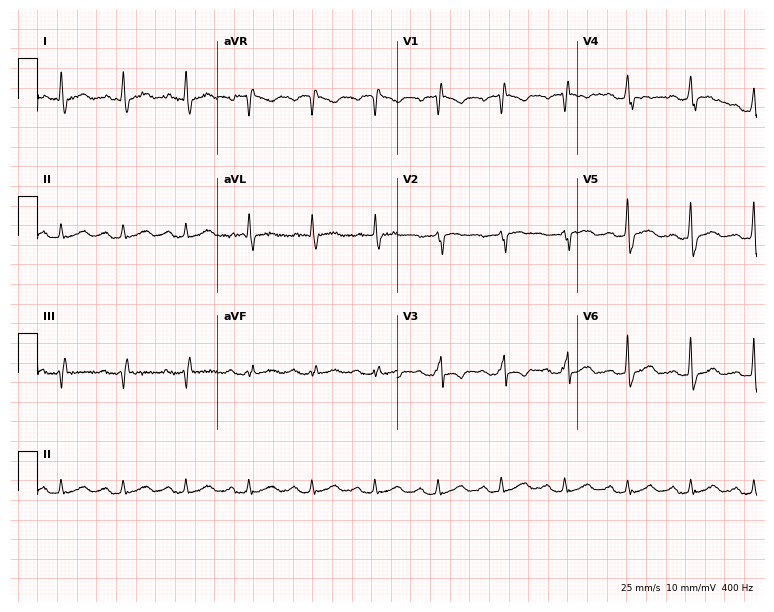
Standard 12-lead ECG recorded from a 71-year-old male (7.3-second recording at 400 Hz). None of these six findings is recorded: first-degree AV block, right bundle branch block (RBBB), left bundle branch block (LBBB), sinus bradycardia, atrial fibrillation (AF), sinus tachycardia.